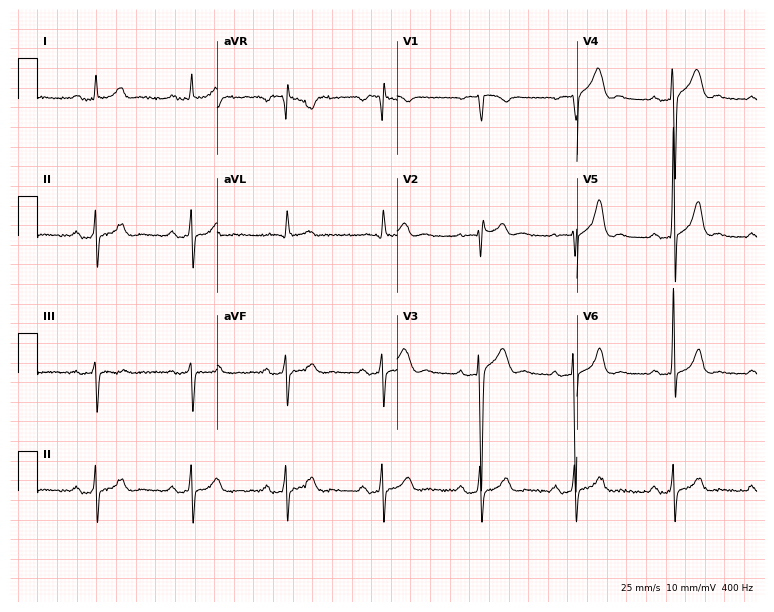
12-lead ECG from a 54-year-old male patient. No first-degree AV block, right bundle branch block, left bundle branch block, sinus bradycardia, atrial fibrillation or sinus tachycardia recorded for this tracing.